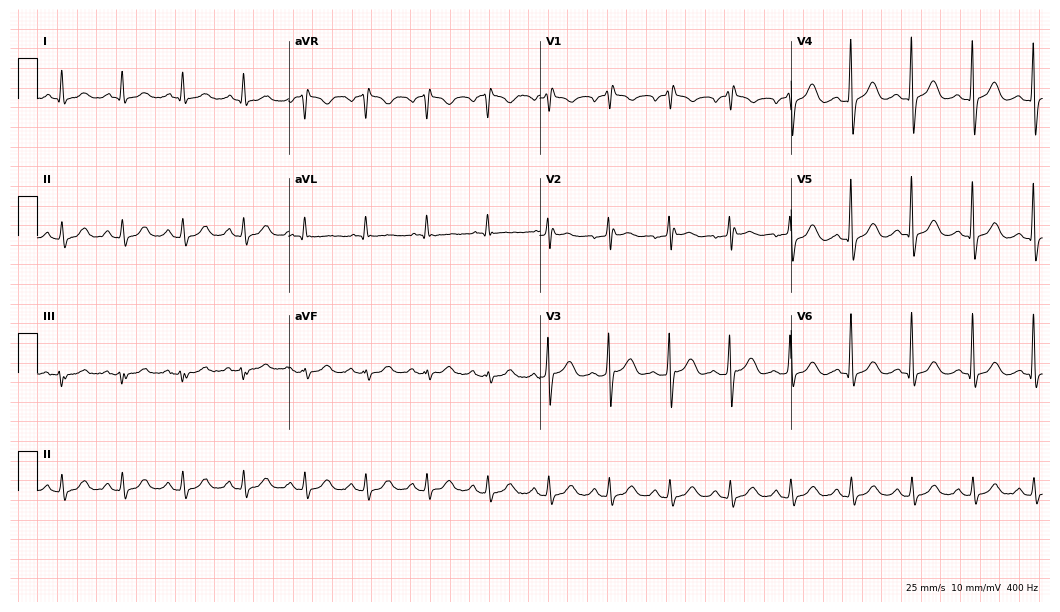
12-lead ECG (10.2-second recording at 400 Hz) from an 80-year-old male patient. Screened for six findings — first-degree AV block, right bundle branch block (RBBB), left bundle branch block (LBBB), sinus bradycardia, atrial fibrillation (AF), sinus tachycardia — none is recorded. Only these six findings were labelled.